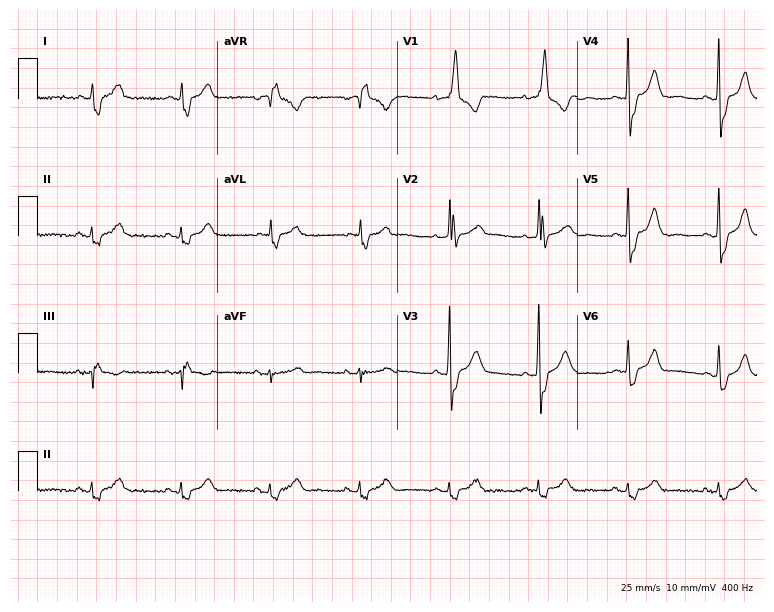
Standard 12-lead ECG recorded from a male patient, 61 years old. The tracing shows right bundle branch block.